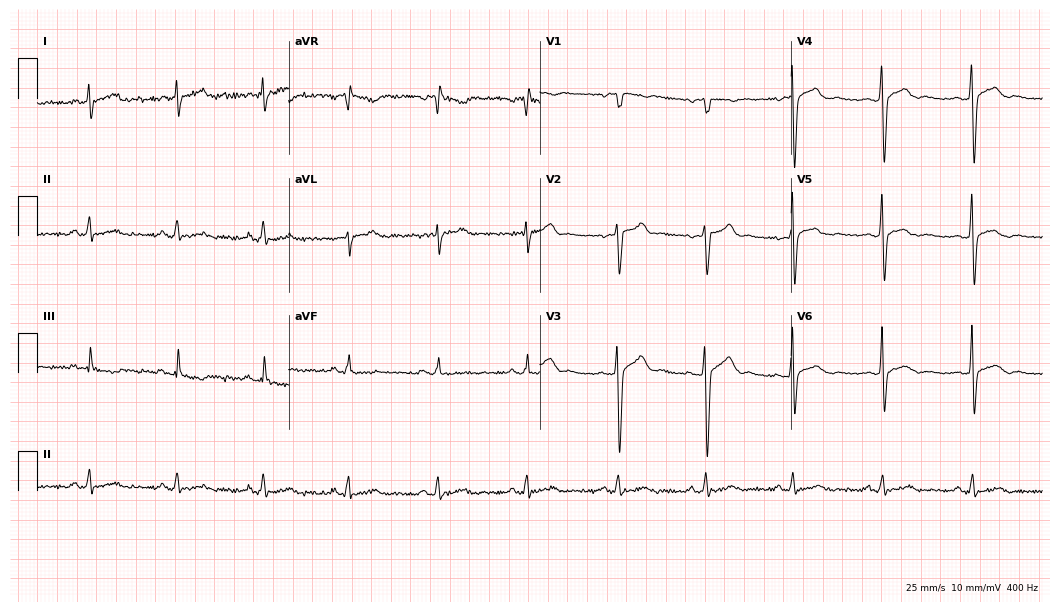
ECG (10.2-second recording at 400 Hz) — a 32-year-old male. Screened for six findings — first-degree AV block, right bundle branch block, left bundle branch block, sinus bradycardia, atrial fibrillation, sinus tachycardia — none is recorded. Only these six findings were labelled.